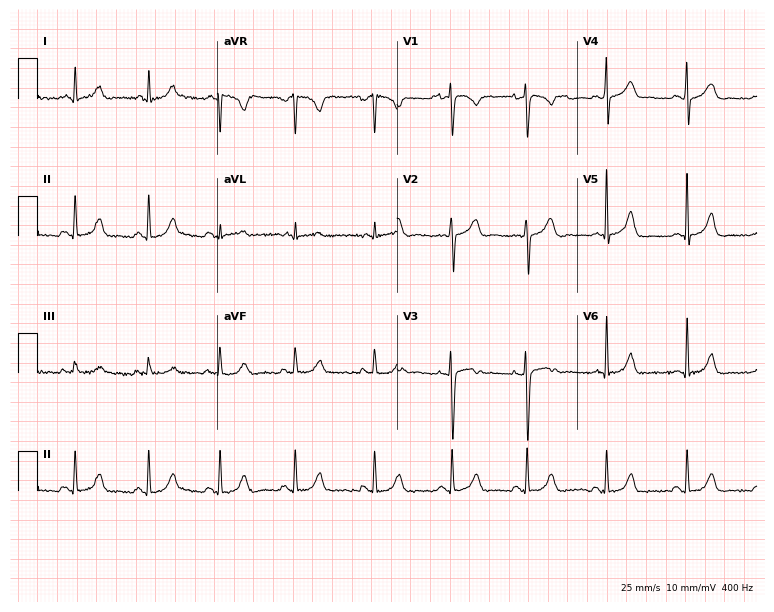
Standard 12-lead ECG recorded from a woman, 28 years old (7.3-second recording at 400 Hz). Read as a normal ECG.